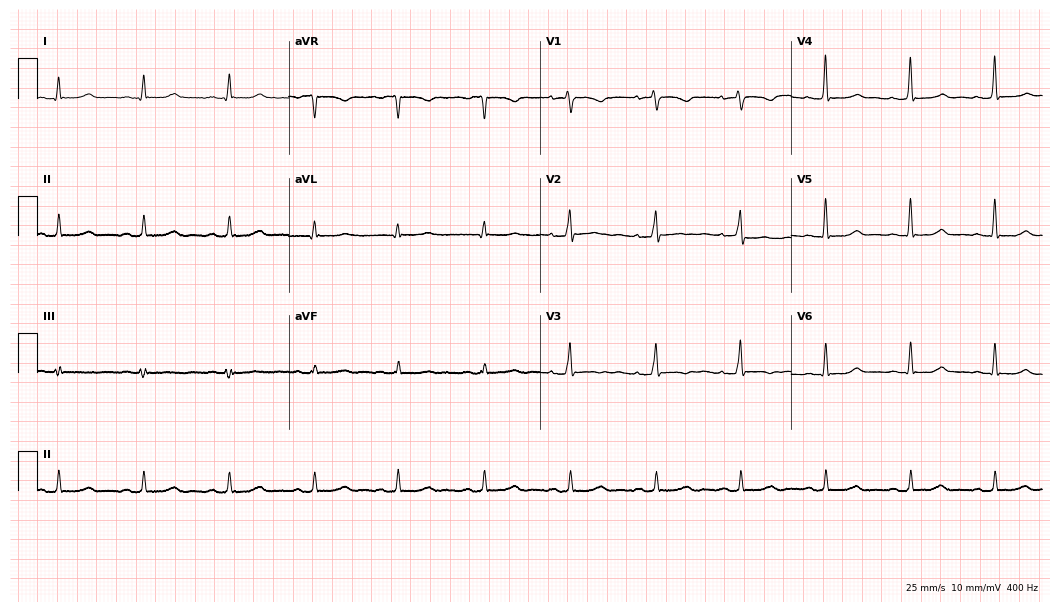
Electrocardiogram (10.2-second recording at 400 Hz), a 43-year-old female. Of the six screened findings (first-degree AV block, right bundle branch block (RBBB), left bundle branch block (LBBB), sinus bradycardia, atrial fibrillation (AF), sinus tachycardia), none is recorded.